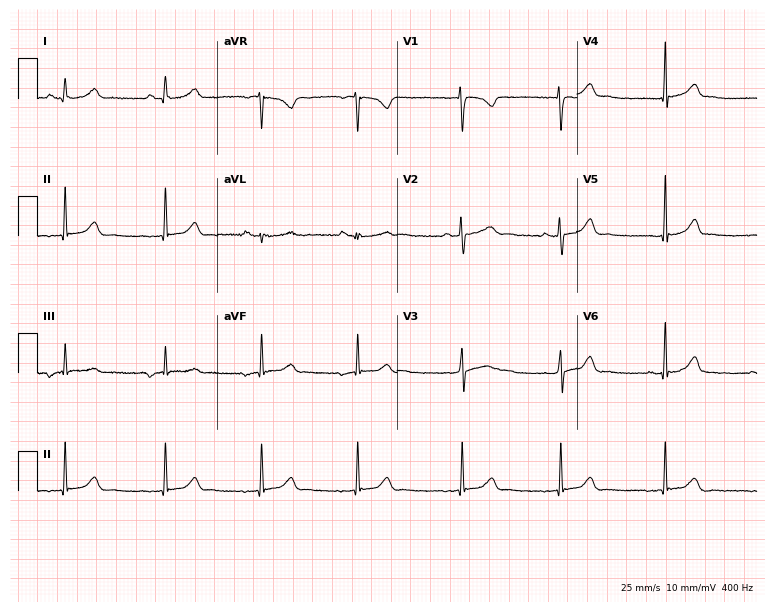
Resting 12-lead electrocardiogram. Patient: a 28-year-old female. None of these six findings is recorded: first-degree AV block, right bundle branch block, left bundle branch block, sinus bradycardia, atrial fibrillation, sinus tachycardia.